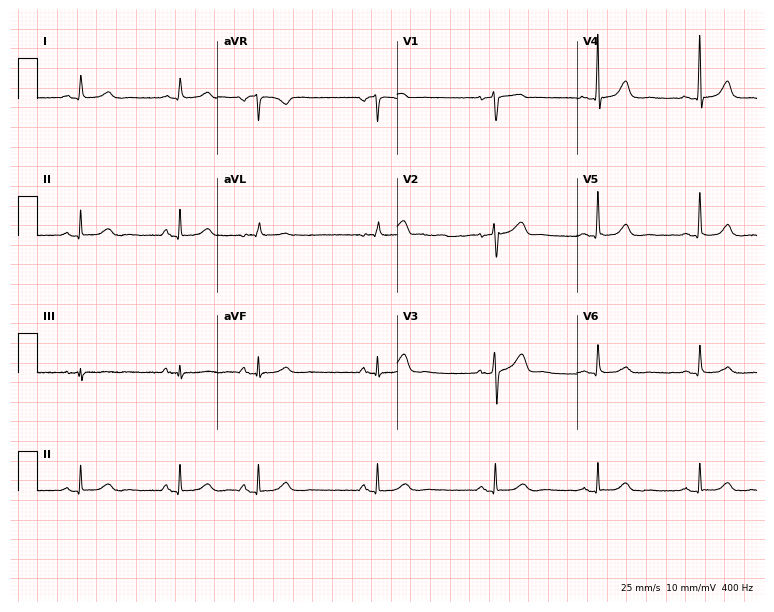
ECG (7.3-second recording at 400 Hz) — a female patient, 60 years old. Labelled as a normal ECG.